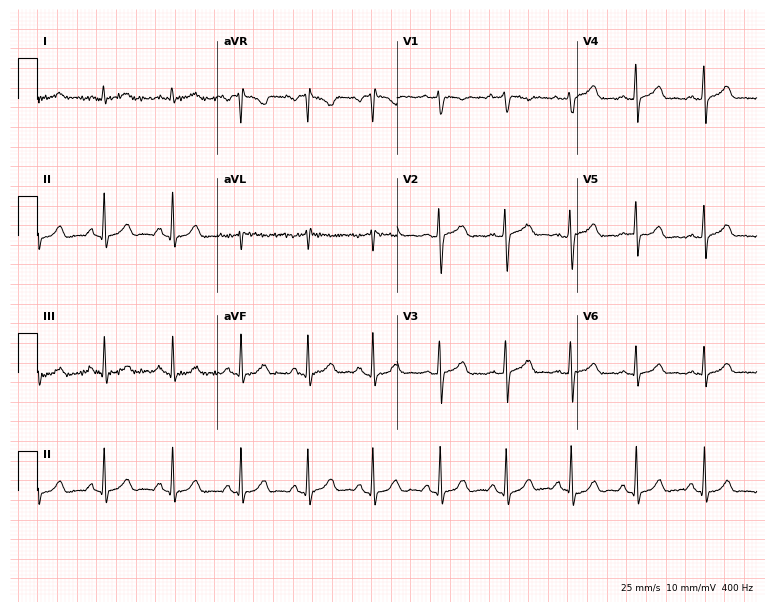
12-lead ECG from an 18-year-old woman (7.3-second recording at 400 Hz). Recorded interpretation: within normal limits.